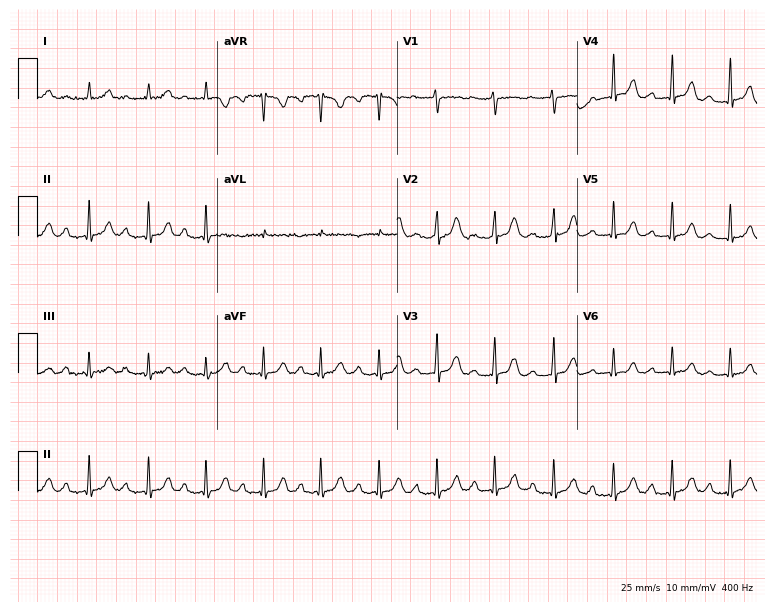
12-lead ECG from a 22-year-old female patient (7.3-second recording at 400 Hz). Shows first-degree AV block, sinus tachycardia (a sinus rate of 100 beats per minute or more).